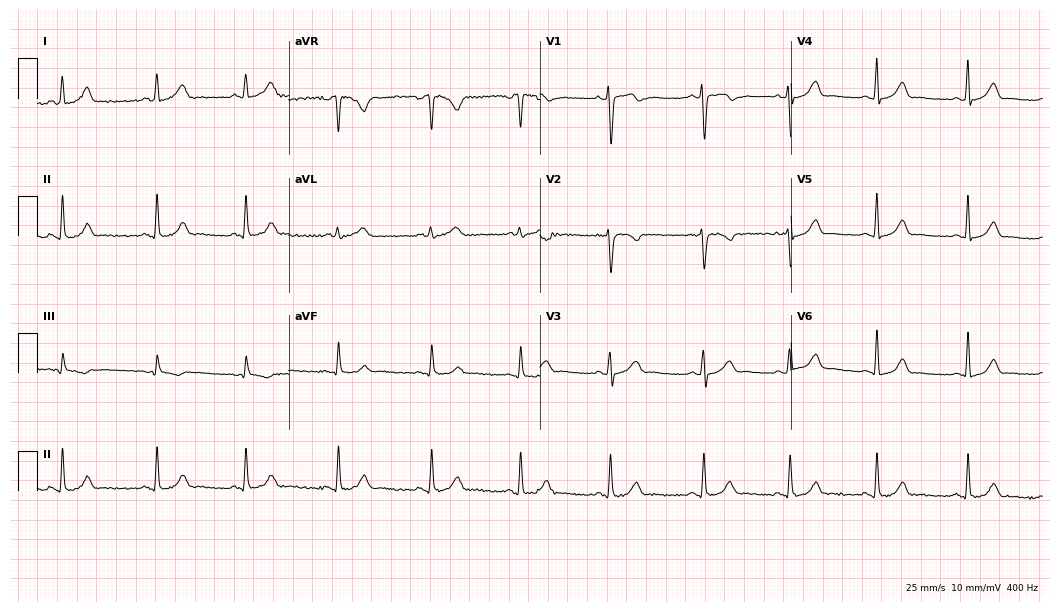
12-lead ECG (10.2-second recording at 400 Hz) from a female, 29 years old. Labelled as a normal ECG.